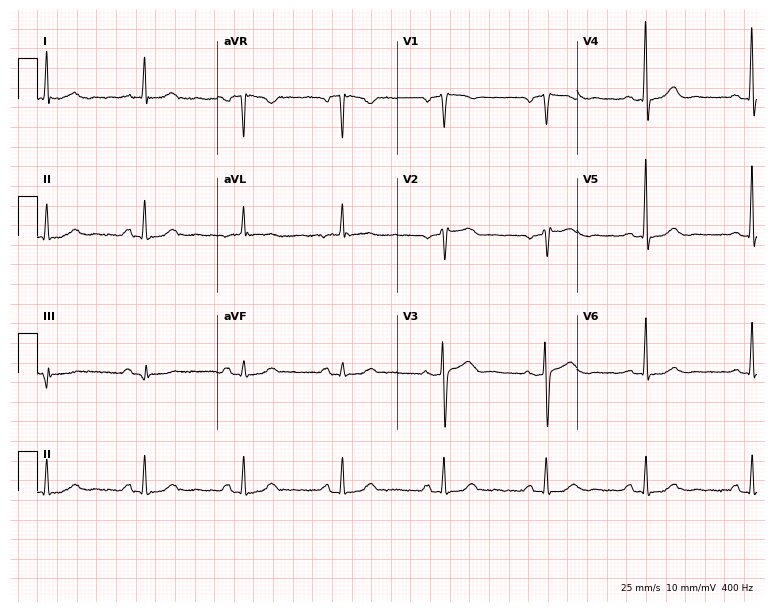
Standard 12-lead ECG recorded from a female patient, 66 years old (7.3-second recording at 400 Hz). Read as a normal ECG.